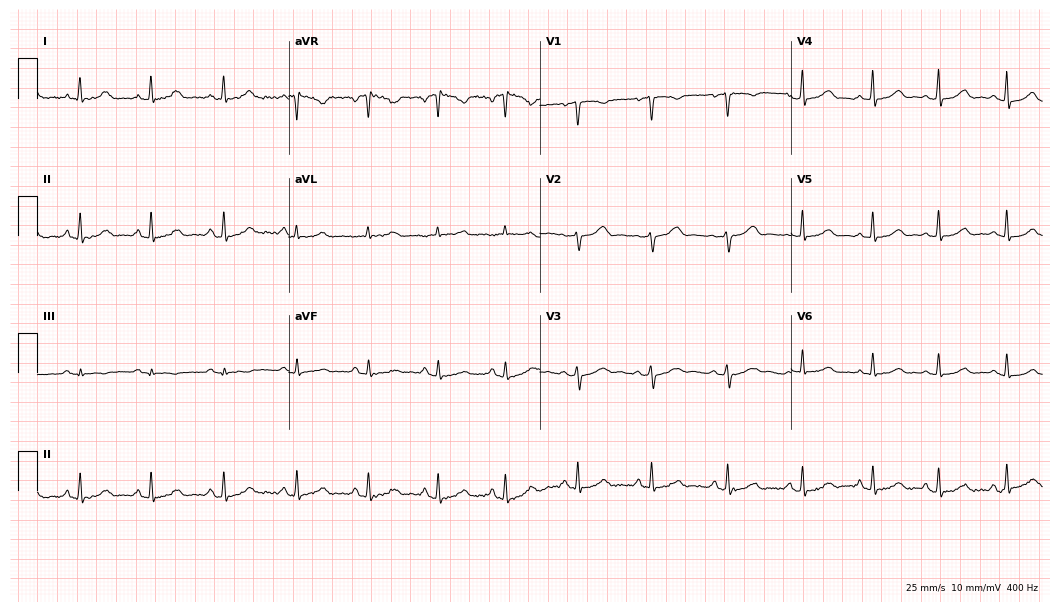
Standard 12-lead ECG recorded from a female, 38 years old (10.2-second recording at 400 Hz). None of these six findings is recorded: first-degree AV block, right bundle branch block, left bundle branch block, sinus bradycardia, atrial fibrillation, sinus tachycardia. Only these six findings were labelled.